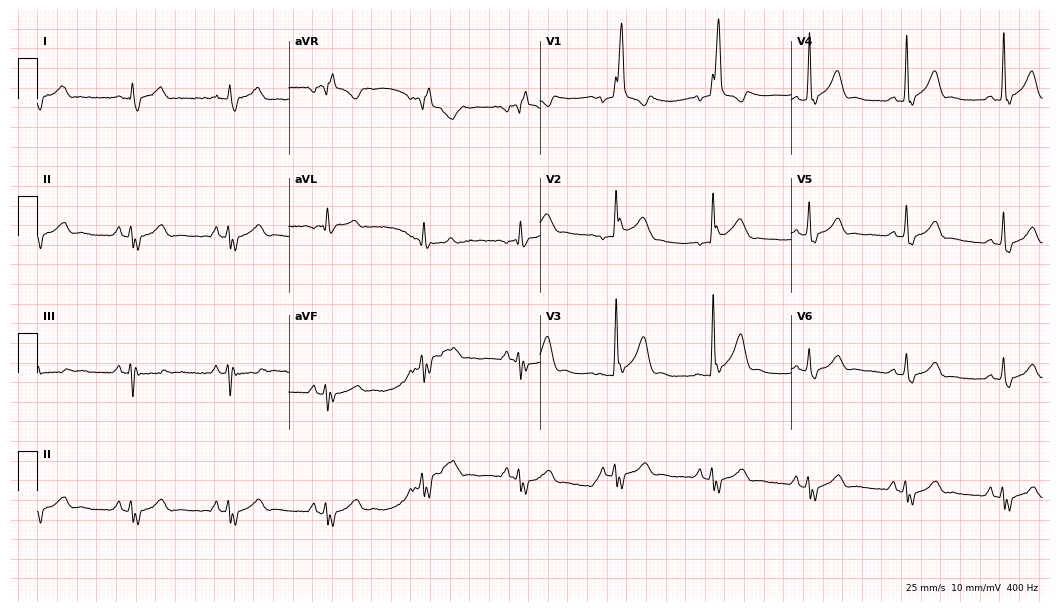
ECG — a male, 78 years old. Findings include right bundle branch block (RBBB).